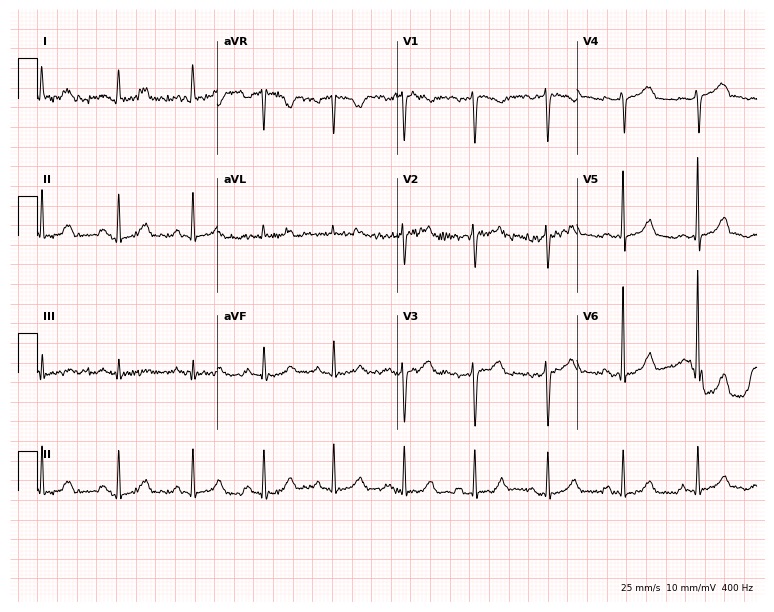
12-lead ECG (7.3-second recording at 400 Hz) from a female, 28 years old. Labelled as a normal ECG.